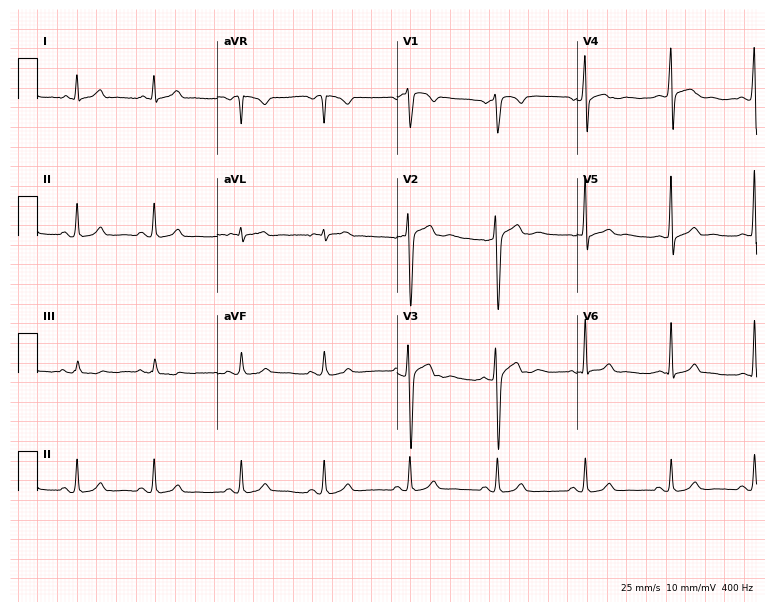
12-lead ECG (7.3-second recording at 400 Hz) from a 29-year-old man. Screened for six findings — first-degree AV block, right bundle branch block (RBBB), left bundle branch block (LBBB), sinus bradycardia, atrial fibrillation (AF), sinus tachycardia — none is recorded.